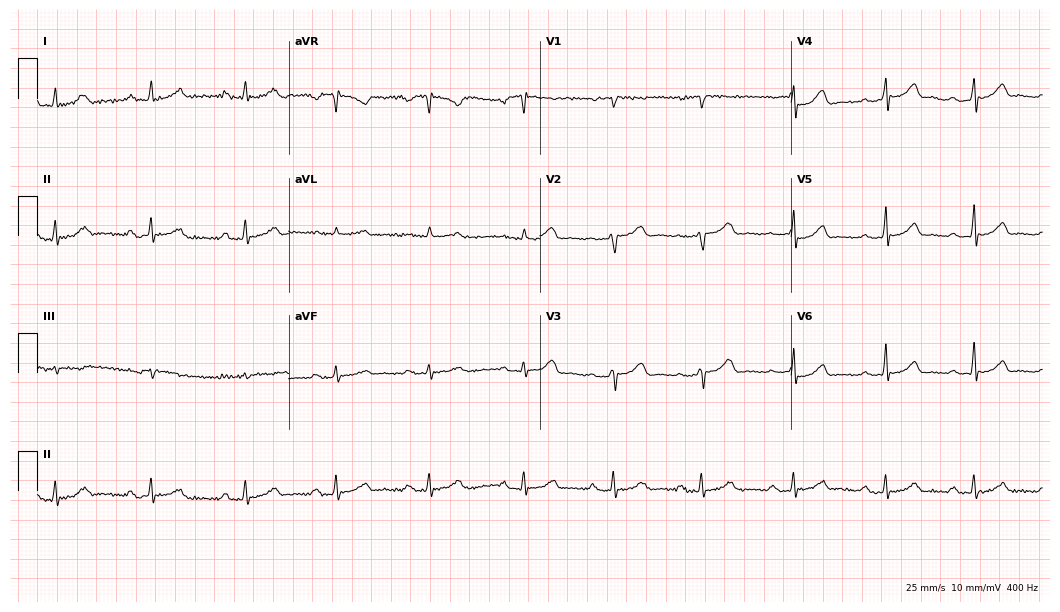
12-lead ECG from a female, 43 years old (10.2-second recording at 400 Hz). No first-degree AV block, right bundle branch block, left bundle branch block, sinus bradycardia, atrial fibrillation or sinus tachycardia recorded for this tracing. Only these six findings were labelled.